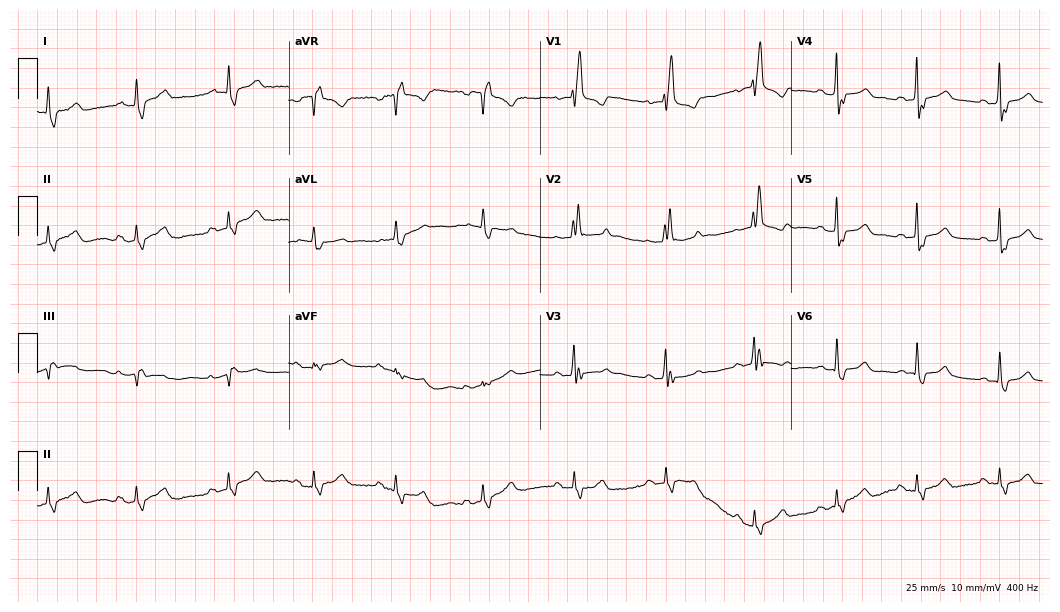
ECG — a woman, 50 years old. Findings include right bundle branch block.